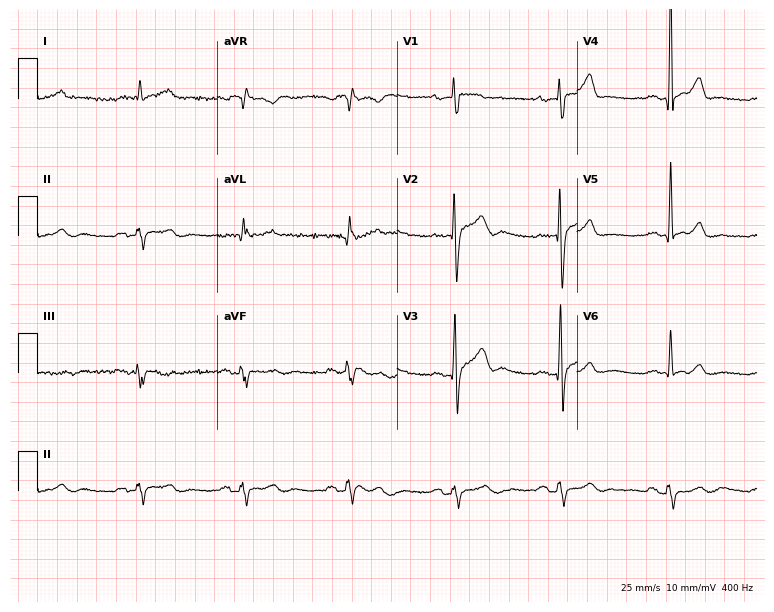
12-lead ECG from a 32-year-old male (7.3-second recording at 400 Hz). Shows first-degree AV block.